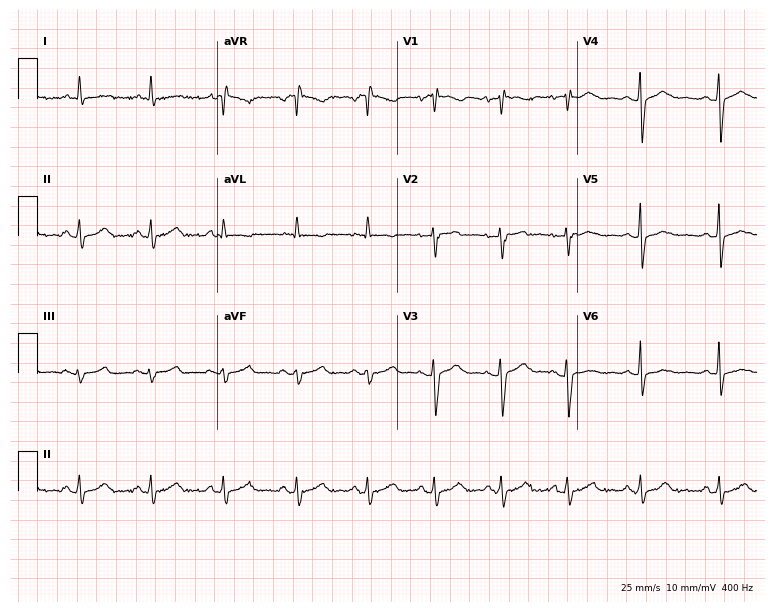
Standard 12-lead ECG recorded from a woman, 40 years old. None of these six findings is recorded: first-degree AV block, right bundle branch block (RBBB), left bundle branch block (LBBB), sinus bradycardia, atrial fibrillation (AF), sinus tachycardia.